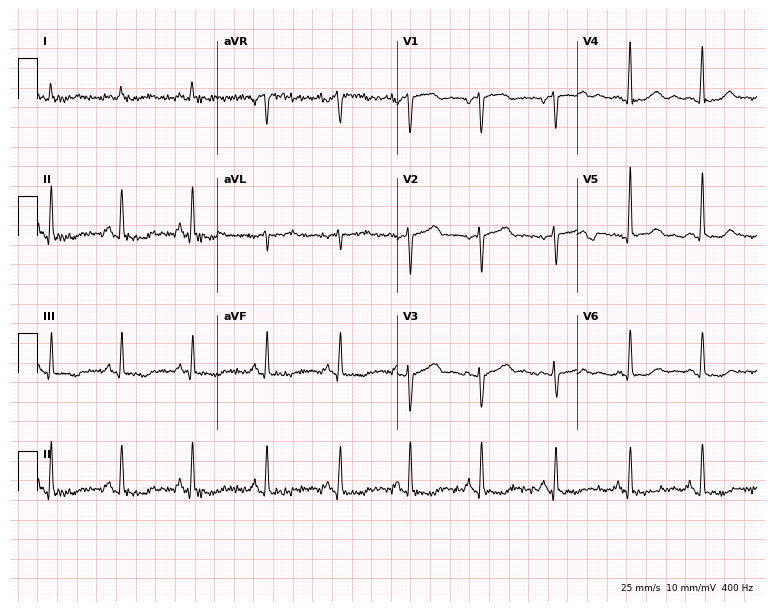
ECG — a 76-year-old woman. Screened for six findings — first-degree AV block, right bundle branch block (RBBB), left bundle branch block (LBBB), sinus bradycardia, atrial fibrillation (AF), sinus tachycardia — none is recorded.